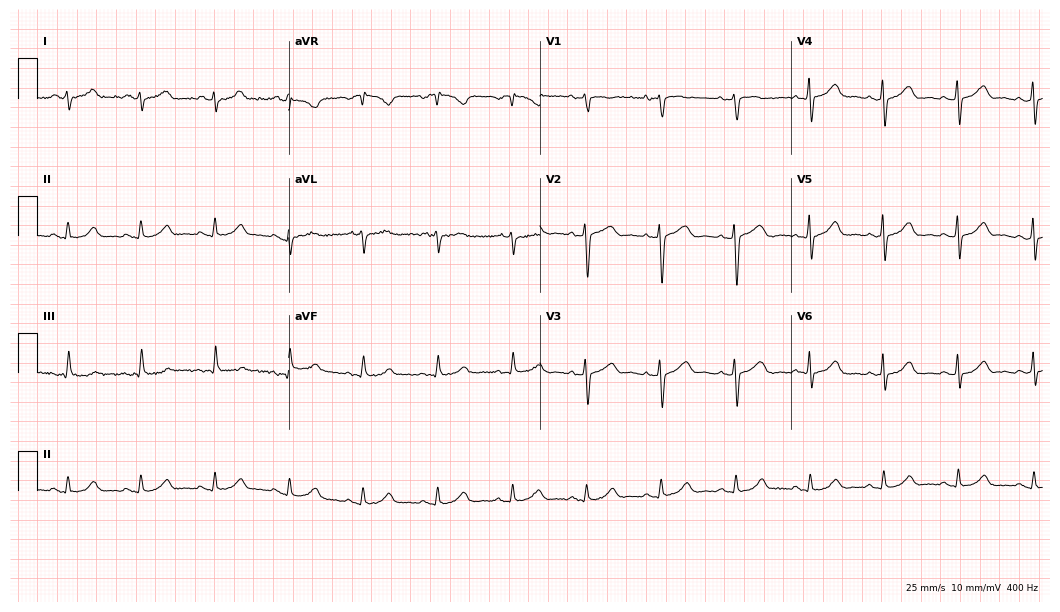
12-lead ECG from a female patient, 38 years old. Screened for six findings — first-degree AV block, right bundle branch block, left bundle branch block, sinus bradycardia, atrial fibrillation, sinus tachycardia — none is recorded.